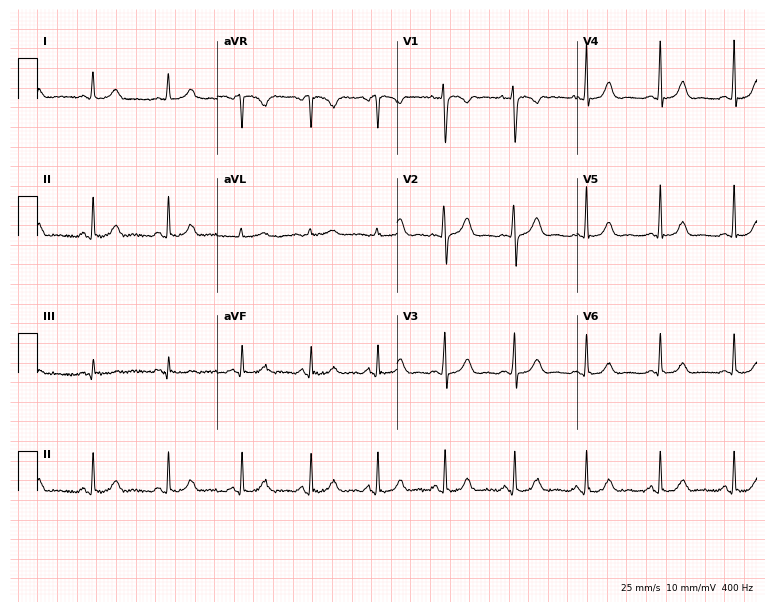
12-lead ECG from a woman, 32 years old. Recorded interpretation: within normal limits.